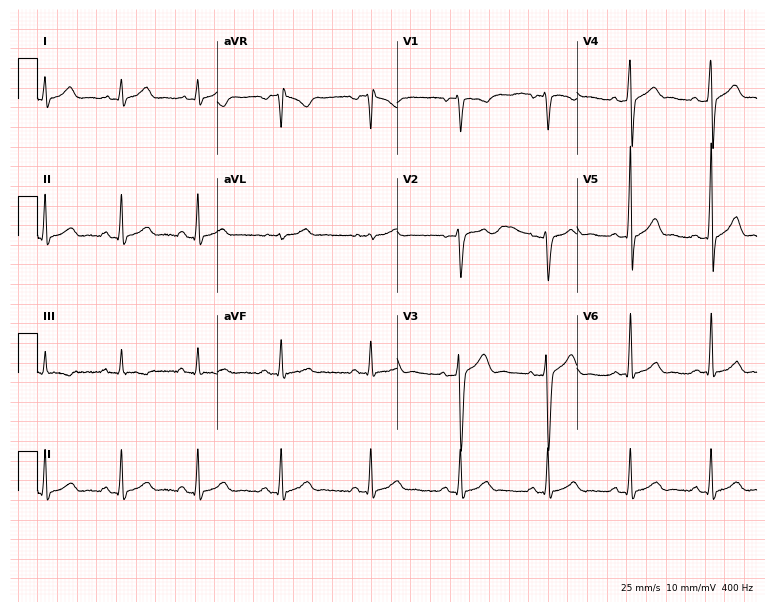
Electrocardiogram, a 25-year-old male. Overall reading on record: normal ECG.